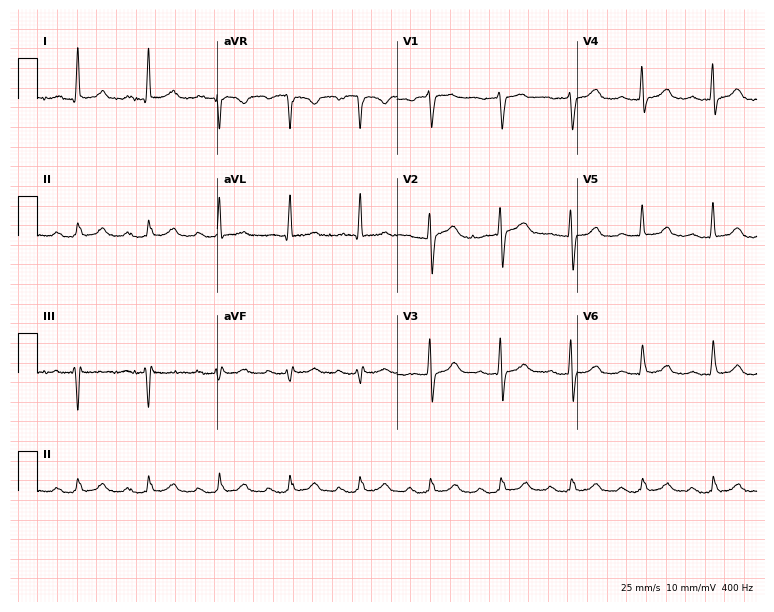
12-lead ECG (7.3-second recording at 400 Hz) from a male patient, 78 years old. Screened for six findings — first-degree AV block, right bundle branch block, left bundle branch block, sinus bradycardia, atrial fibrillation, sinus tachycardia — none is recorded. Only these six findings were labelled.